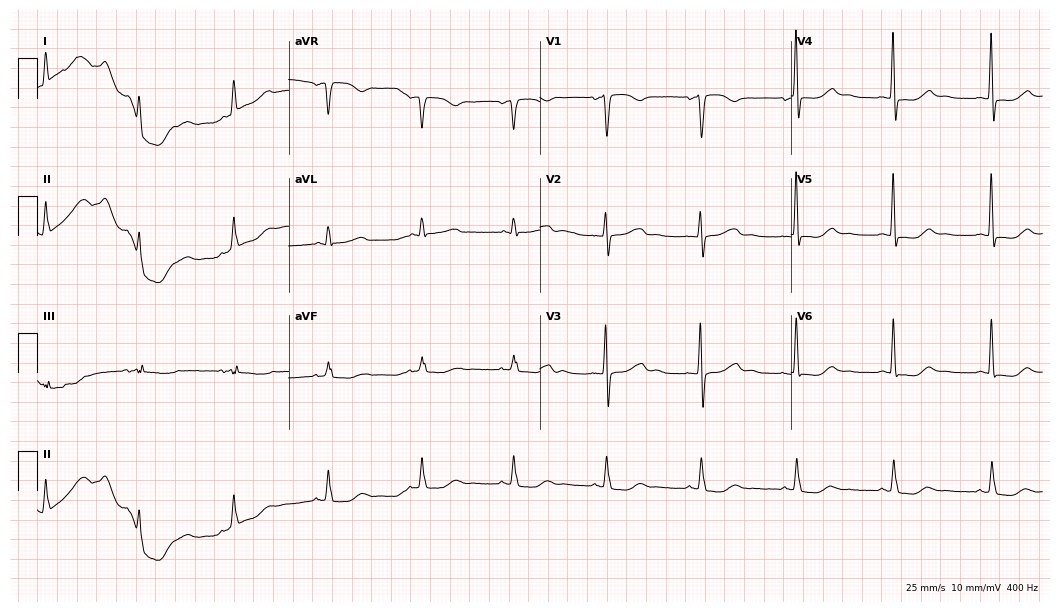
ECG (10.2-second recording at 400 Hz) — a 50-year-old female patient. Screened for six findings — first-degree AV block, right bundle branch block (RBBB), left bundle branch block (LBBB), sinus bradycardia, atrial fibrillation (AF), sinus tachycardia — none is recorded. Only these six findings were labelled.